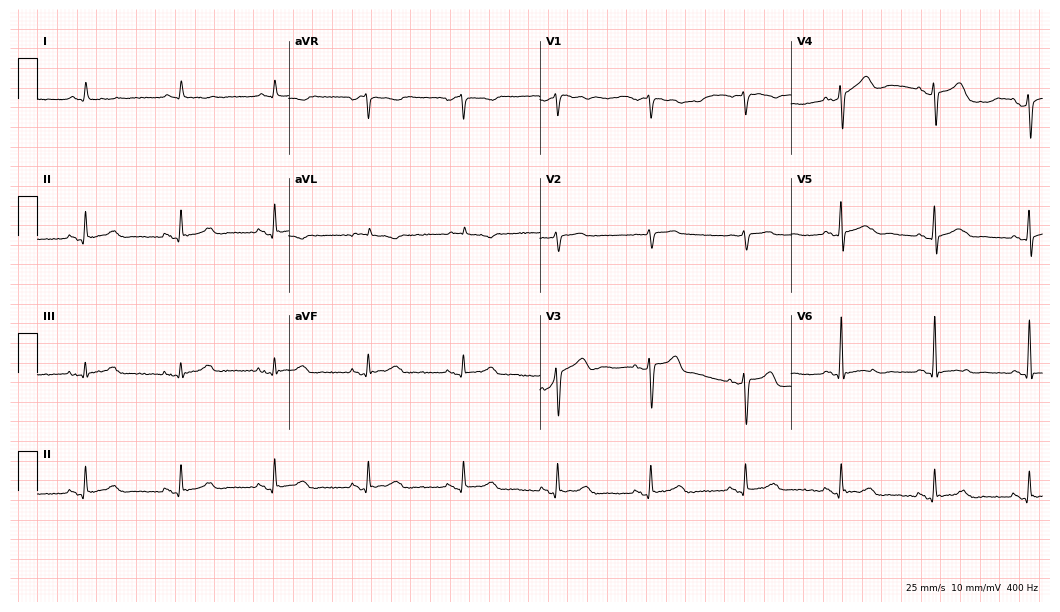
ECG — an 81-year-old male patient. Labelled as a normal ECG.